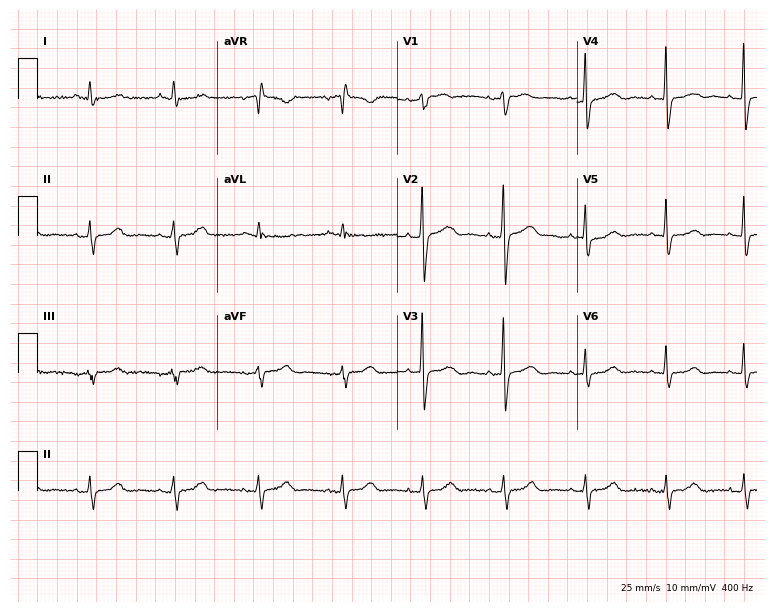
Standard 12-lead ECG recorded from a 58-year-old female patient (7.3-second recording at 400 Hz). None of these six findings is recorded: first-degree AV block, right bundle branch block (RBBB), left bundle branch block (LBBB), sinus bradycardia, atrial fibrillation (AF), sinus tachycardia.